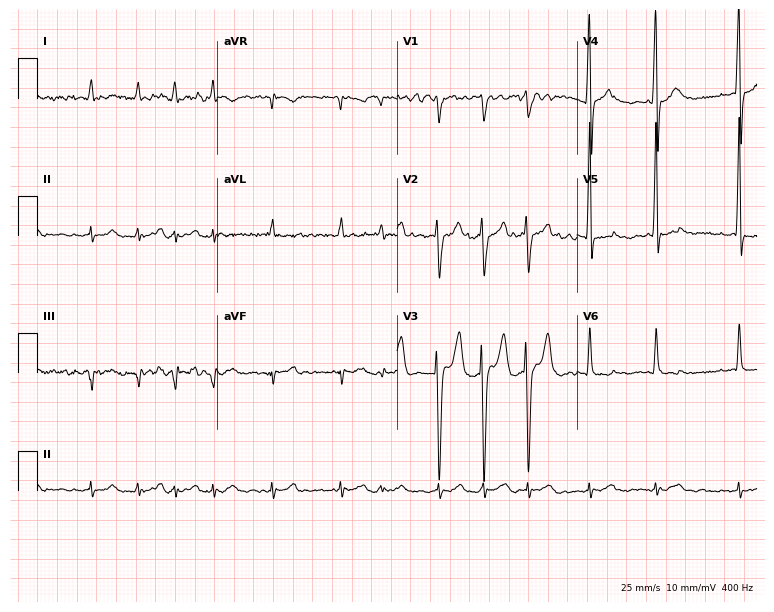
Resting 12-lead electrocardiogram. Patient: a male, 57 years old. The tracing shows atrial fibrillation.